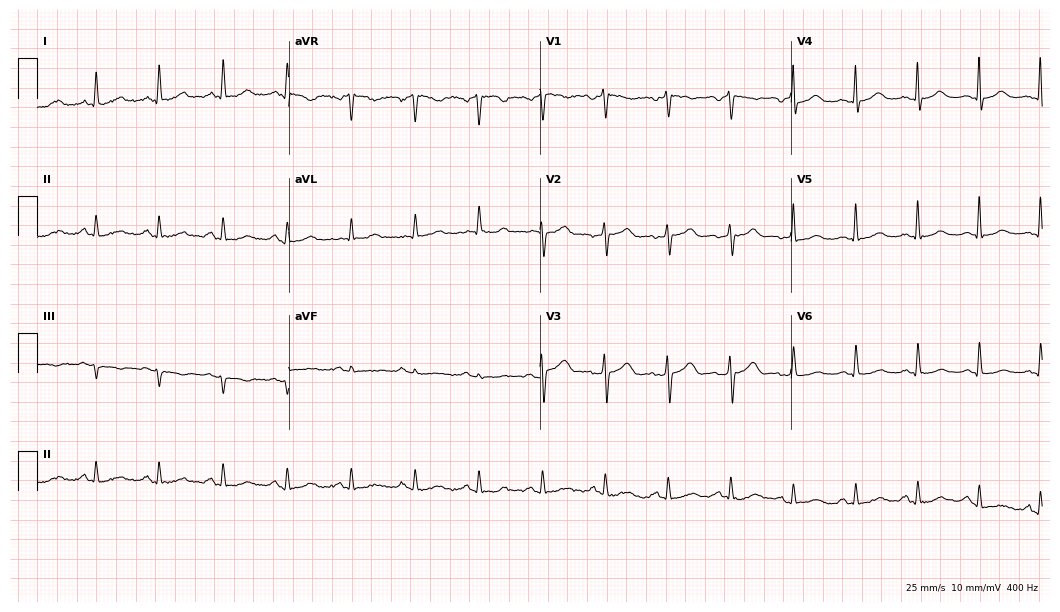
ECG (10.2-second recording at 400 Hz) — a female patient, 46 years old. Labelled as a normal ECG.